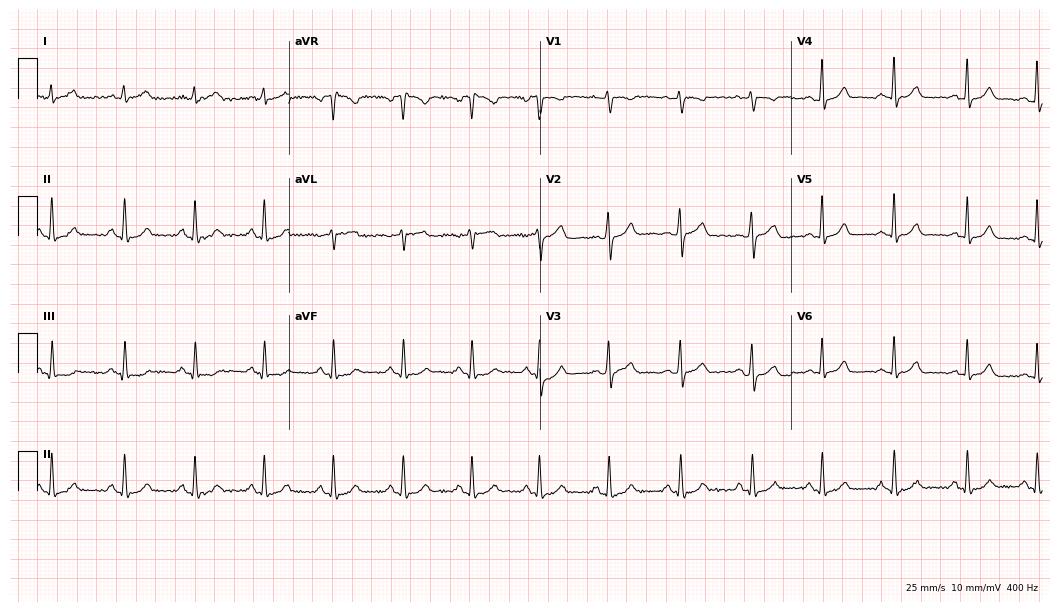
ECG (10.2-second recording at 400 Hz) — a female, 36 years old. Labelled as a normal ECG.